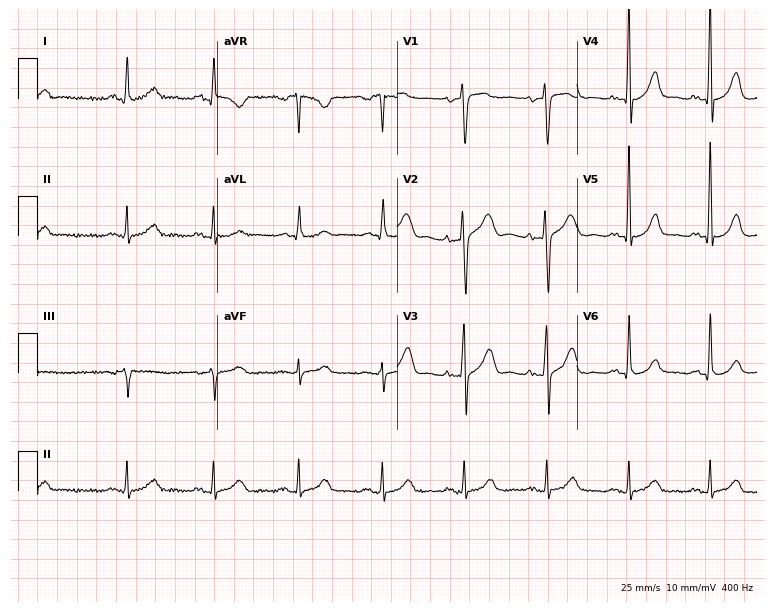
ECG (7.3-second recording at 400 Hz) — a 61-year-old female. Screened for six findings — first-degree AV block, right bundle branch block, left bundle branch block, sinus bradycardia, atrial fibrillation, sinus tachycardia — none is recorded.